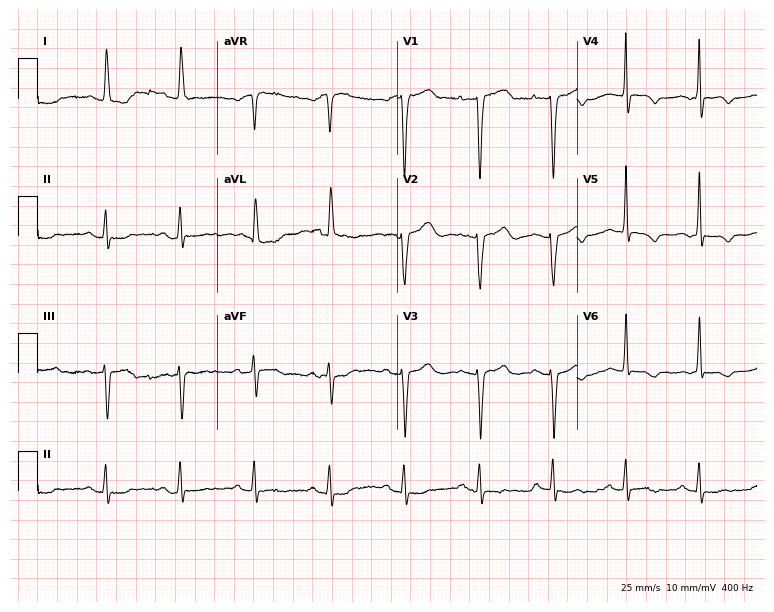
Standard 12-lead ECG recorded from a 71-year-old female. Read as a normal ECG.